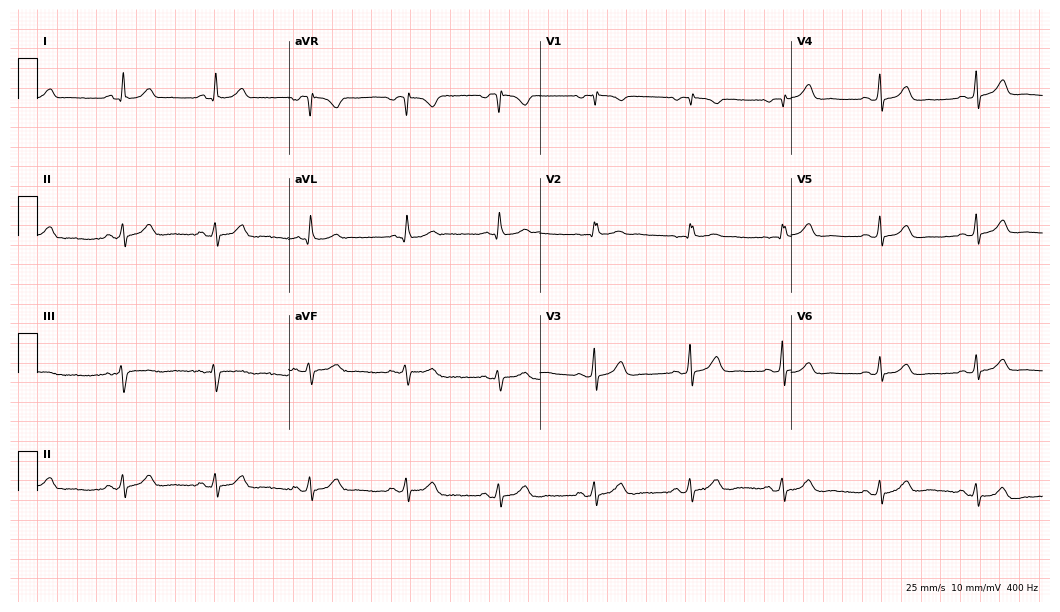
ECG (10.2-second recording at 400 Hz) — a female patient, 35 years old. Screened for six findings — first-degree AV block, right bundle branch block (RBBB), left bundle branch block (LBBB), sinus bradycardia, atrial fibrillation (AF), sinus tachycardia — none is recorded. Only these six findings were labelled.